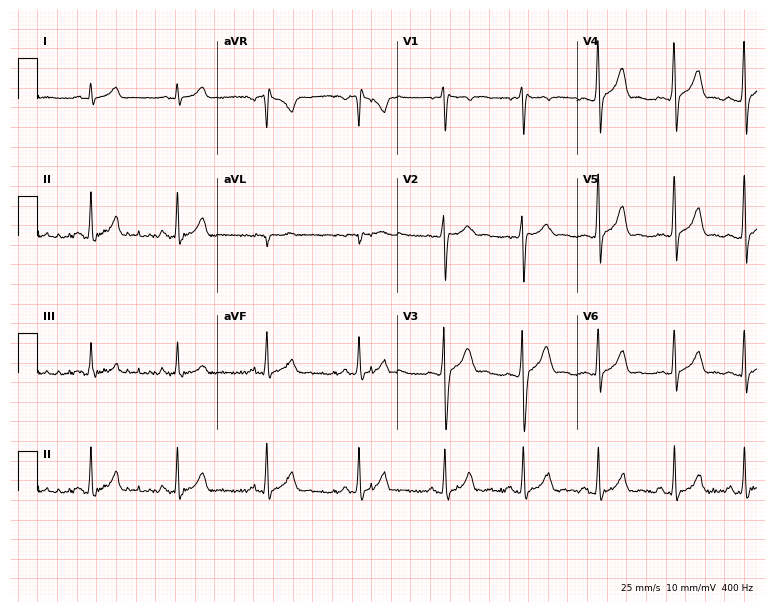
Resting 12-lead electrocardiogram. Patient: an 18-year-old male. Read as a normal ECG.